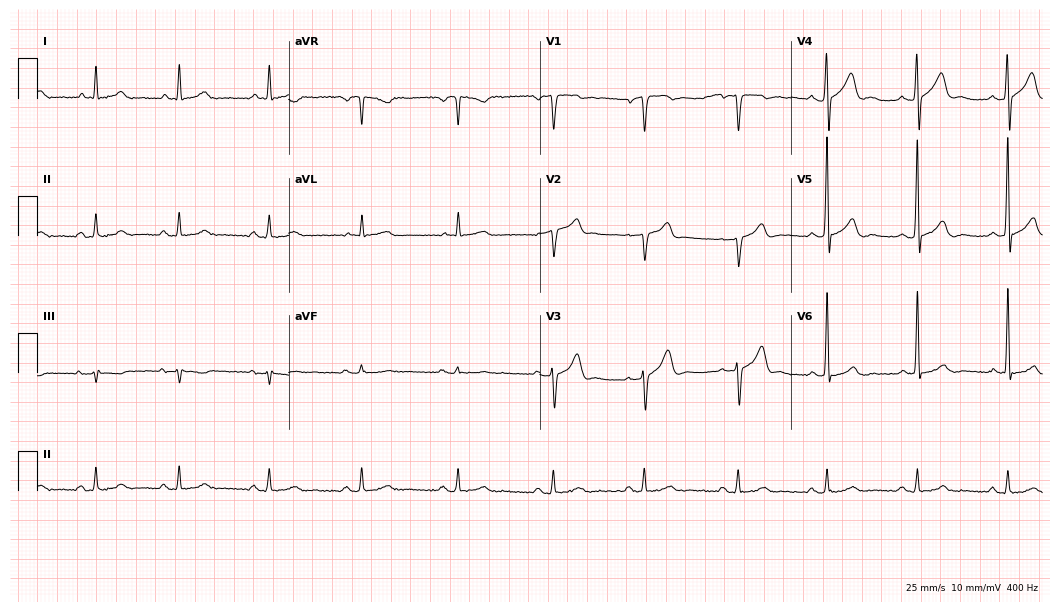
12-lead ECG from a man, 49 years old (10.2-second recording at 400 Hz). No first-degree AV block, right bundle branch block, left bundle branch block, sinus bradycardia, atrial fibrillation or sinus tachycardia recorded for this tracing.